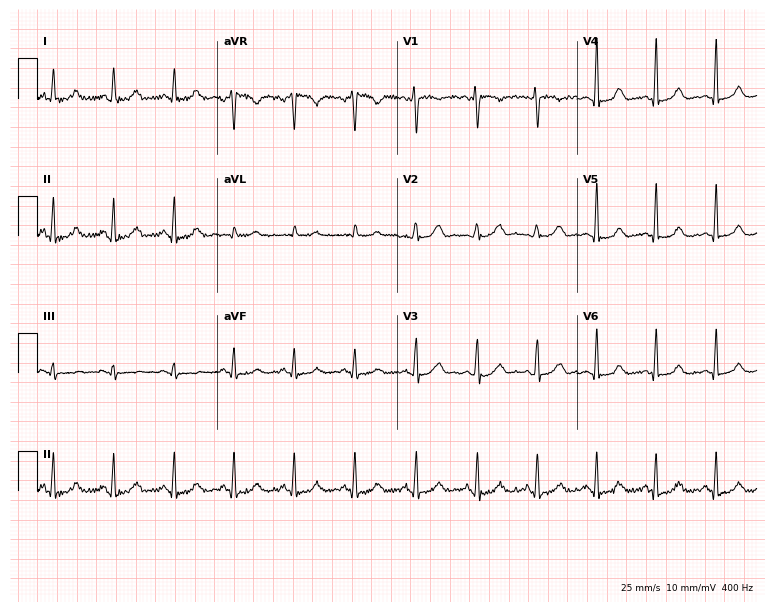
12-lead ECG from a woman, 36 years old. Screened for six findings — first-degree AV block, right bundle branch block (RBBB), left bundle branch block (LBBB), sinus bradycardia, atrial fibrillation (AF), sinus tachycardia — none is recorded.